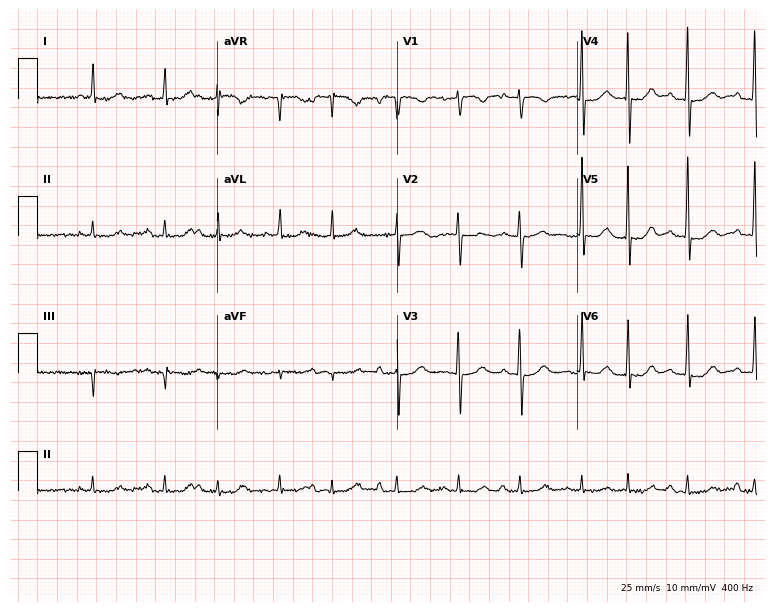
12-lead ECG from a woman, 89 years old. Screened for six findings — first-degree AV block, right bundle branch block, left bundle branch block, sinus bradycardia, atrial fibrillation, sinus tachycardia — none is recorded. Other findings, if any, are not listed.